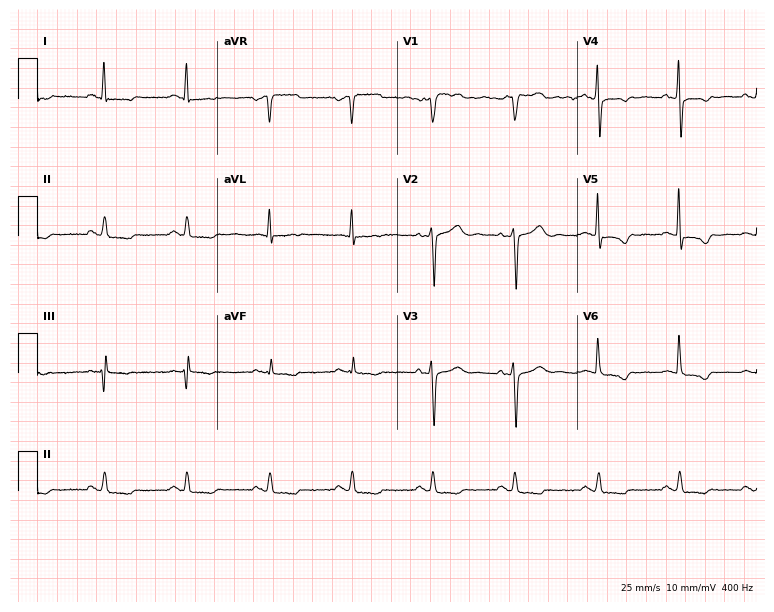
Electrocardiogram, a 56-year-old male patient. Of the six screened findings (first-degree AV block, right bundle branch block (RBBB), left bundle branch block (LBBB), sinus bradycardia, atrial fibrillation (AF), sinus tachycardia), none is recorded.